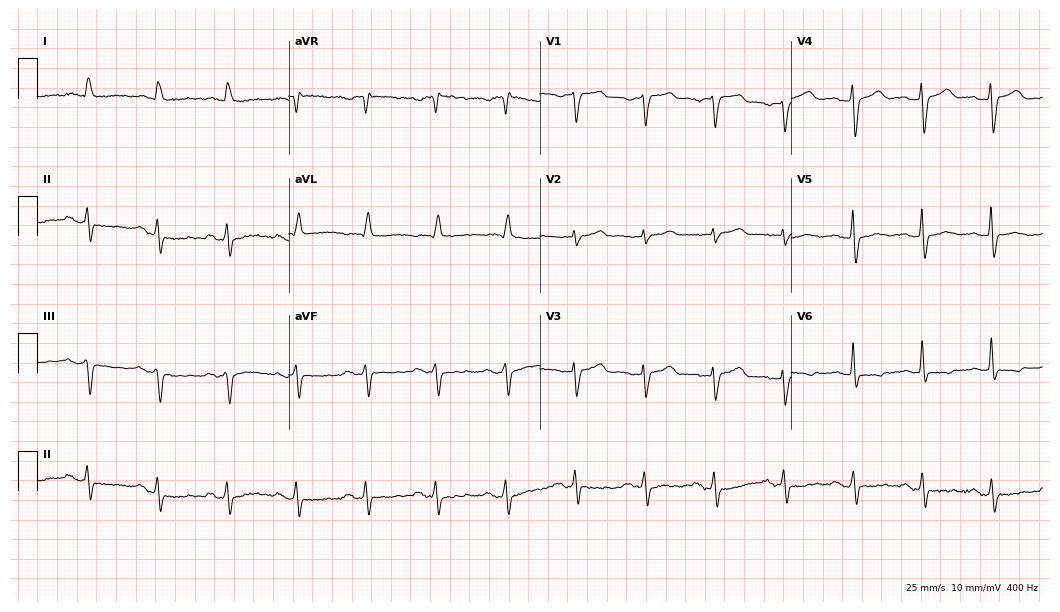
Standard 12-lead ECG recorded from an 82-year-old woman. None of these six findings is recorded: first-degree AV block, right bundle branch block, left bundle branch block, sinus bradycardia, atrial fibrillation, sinus tachycardia. Other findings, if any, are not listed.